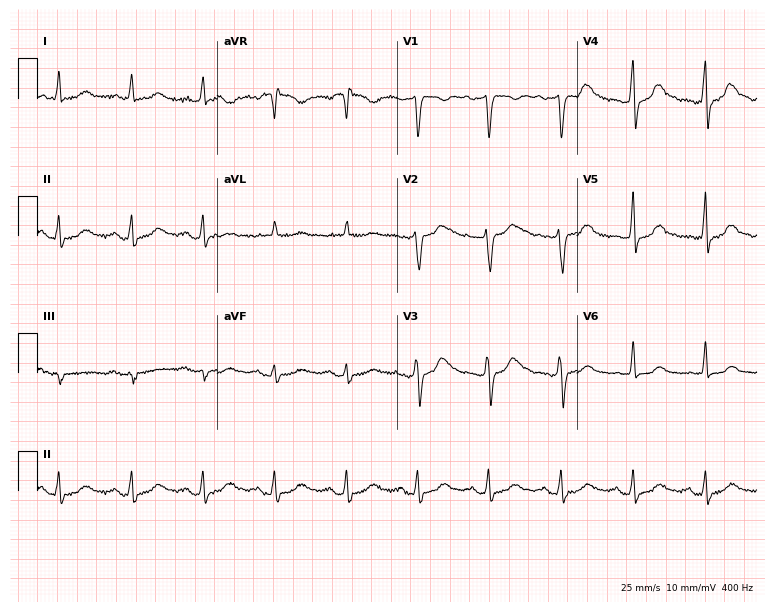
Resting 12-lead electrocardiogram (7.3-second recording at 400 Hz). Patient: a female, 56 years old. None of these six findings is recorded: first-degree AV block, right bundle branch block, left bundle branch block, sinus bradycardia, atrial fibrillation, sinus tachycardia.